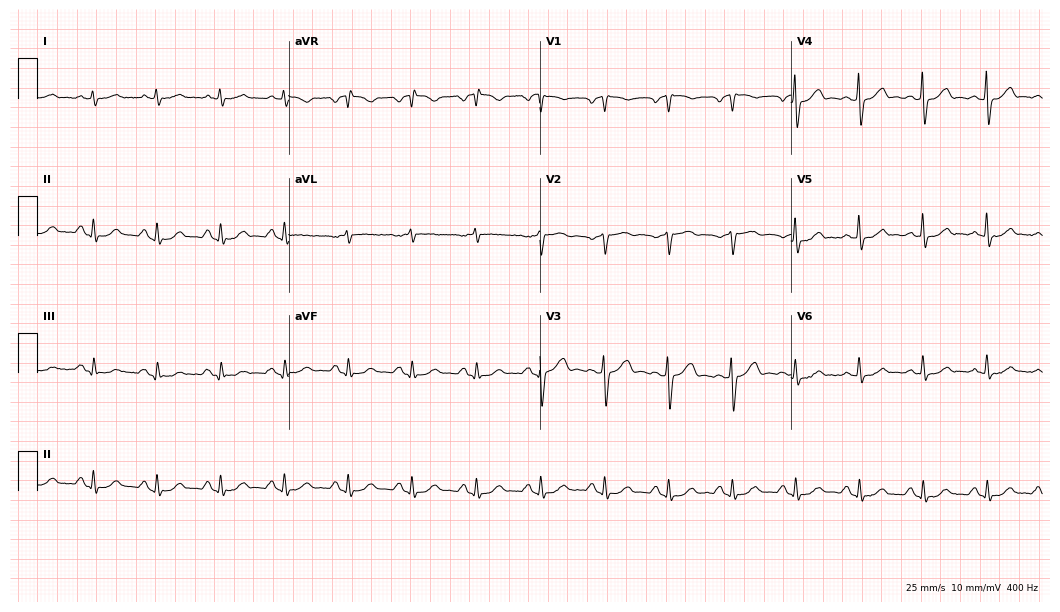
12-lead ECG from a male patient, 71 years old. Labelled as a normal ECG.